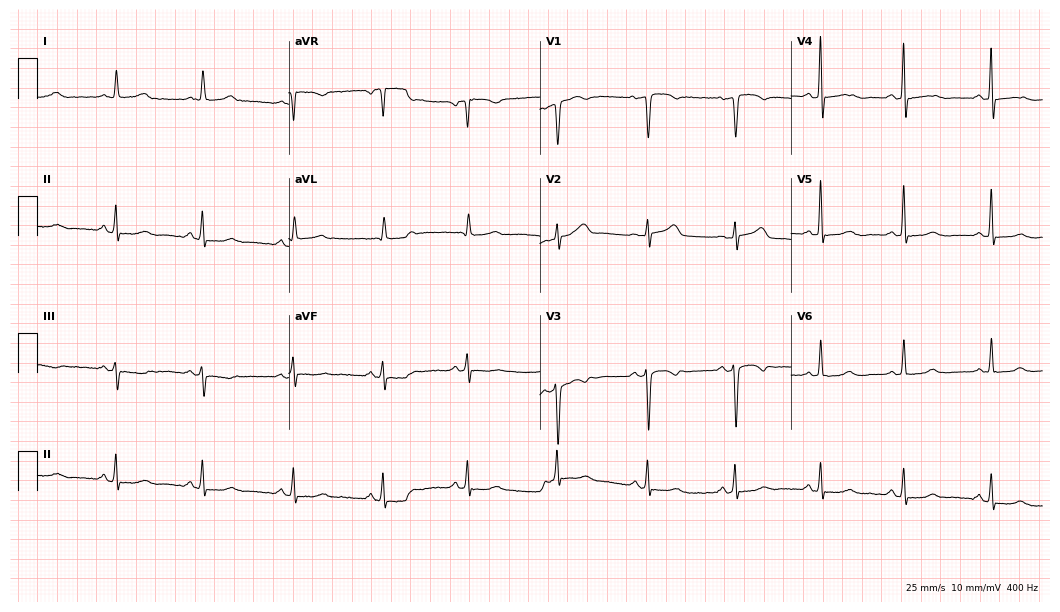
Resting 12-lead electrocardiogram. Patient: a female, 79 years old. None of these six findings is recorded: first-degree AV block, right bundle branch block (RBBB), left bundle branch block (LBBB), sinus bradycardia, atrial fibrillation (AF), sinus tachycardia. Only these six findings were labelled.